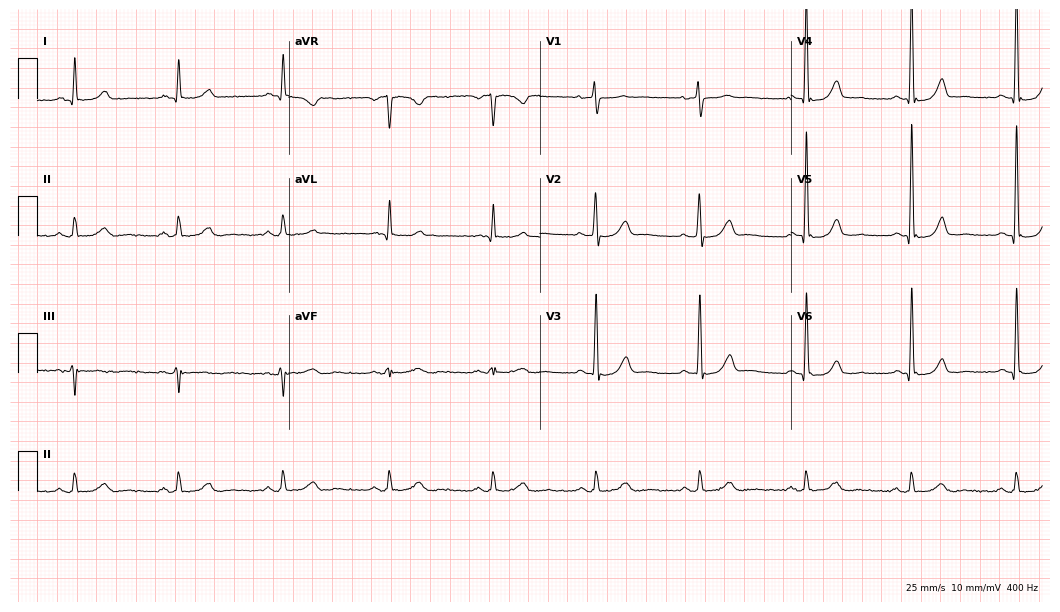
12-lead ECG (10.2-second recording at 400 Hz) from a 71-year-old man. Labelled as a normal ECG.